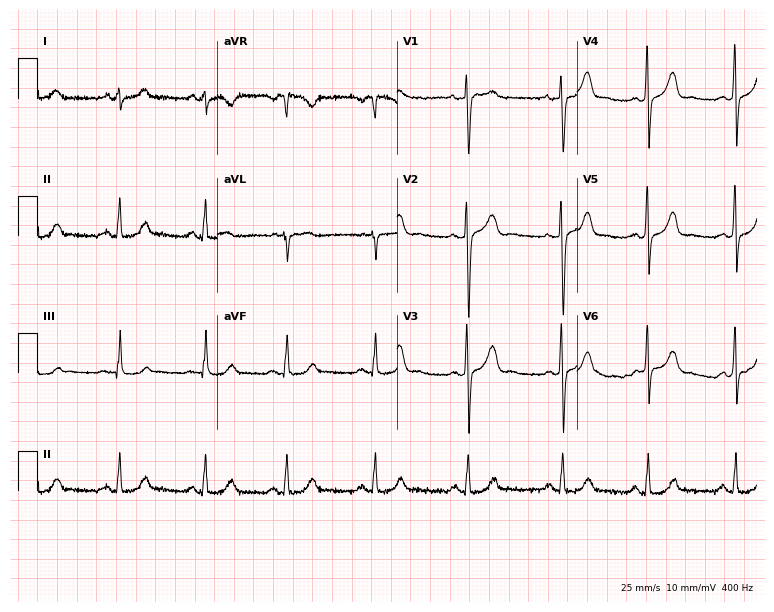
Resting 12-lead electrocardiogram (7.3-second recording at 400 Hz). Patient: a 28-year-old female. Read as a normal ECG.